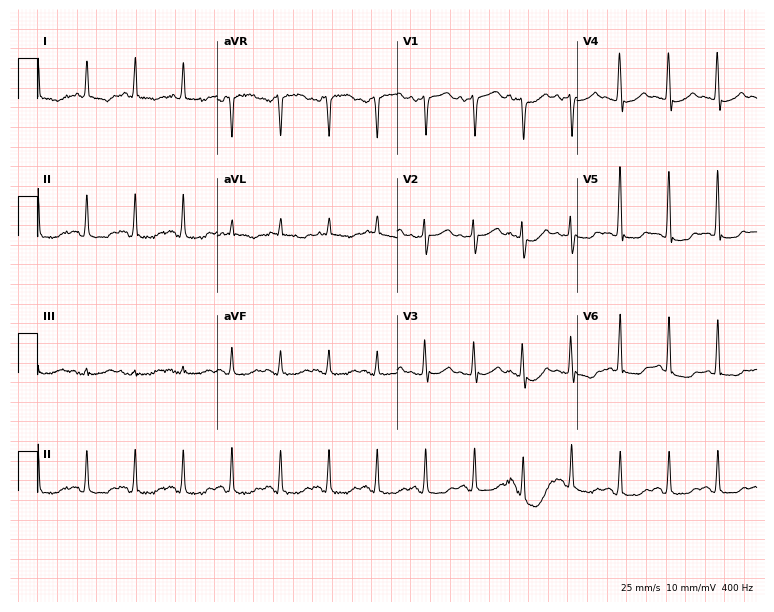
Resting 12-lead electrocardiogram (7.3-second recording at 400 Hz). Patient: a female, 78 years old. The tracing shows sinus tachycardia (a sinus rate of 100 beats per minute or more).